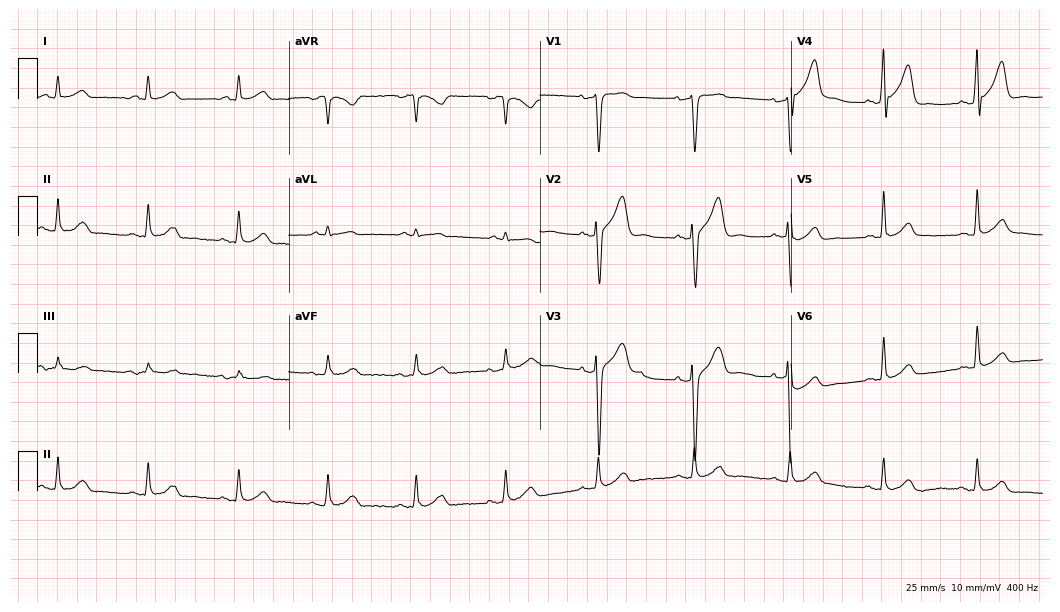
Standard 12-lead ECG recorded from a 47-year-old male. None of these six findings is recorded: first-degree AV block, right bundle branch block, left bundle branch block, sinus bradycardia, atrial fibrillation, sinus tachycardia.